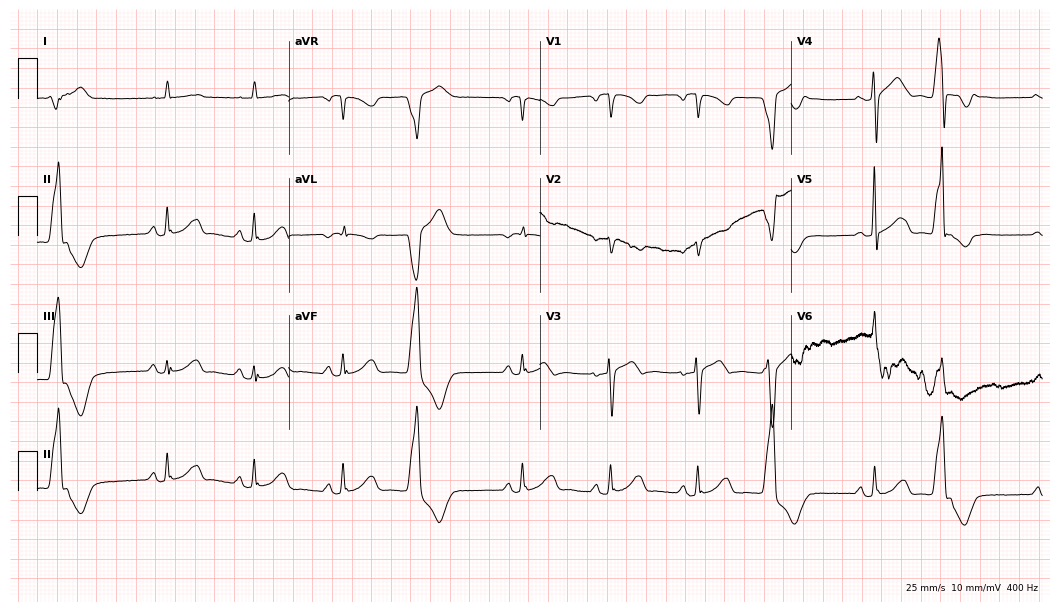
12-lead ECG from a 79-year-old female (10.2-second recording at 400 Hz). No first-degree AV block, right bundle branch block (RBBB), left bundle branch block (LBBB), sinus bradycardia, atrial fibrillation (AF) or sinus tachycardia recorded for this tracing.